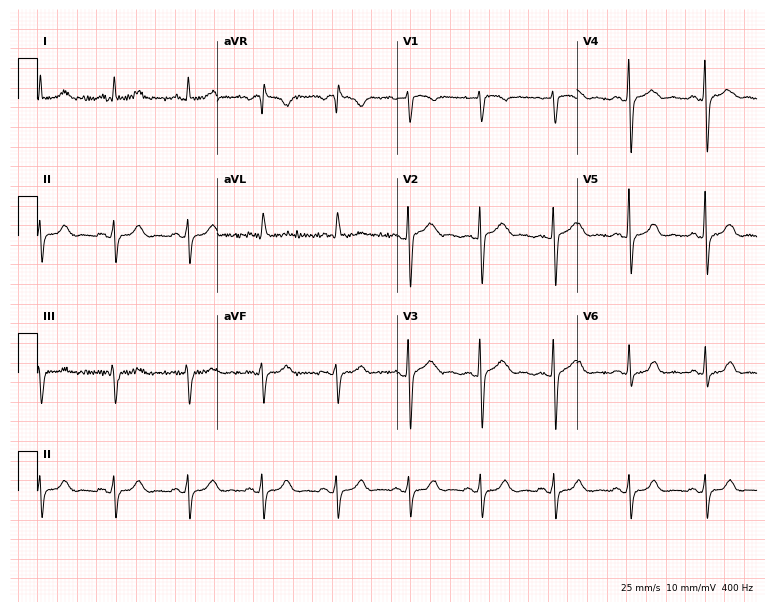
ECG (7.3-second recording at 400 Hz) — a female, 32 years old. Screened for six findings — first-degree AV block, right bundle branch block, left bundle branch block, sinus bradycardia, atrial fibrillation, sinus tachycardia — none is recorded.